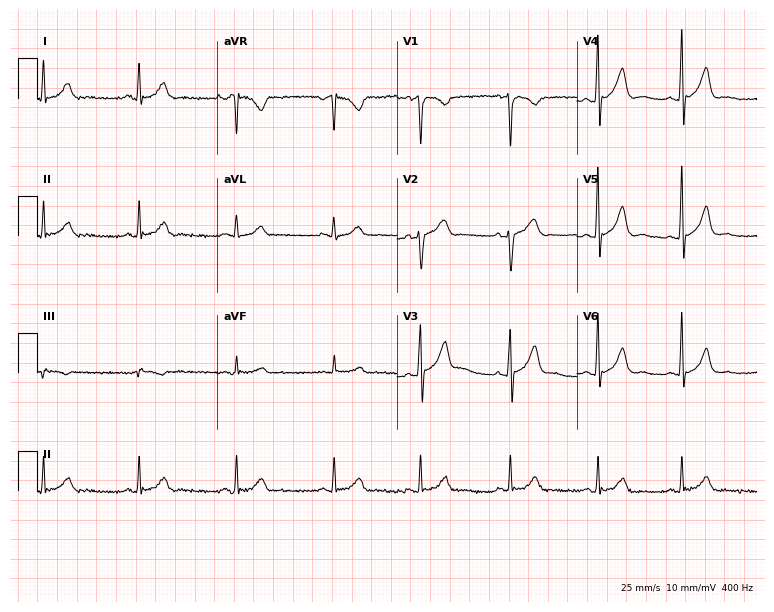
12-lead ECG from a male patient, 34 years old (7.3-second recording at 400 Hz). No first-degree AV block, right bundle branch block, left bundle branch block, sinus bradycardia, atrial fibrillation or sinus tachycardia recorded for this tracing. Findings outside these six are not listed.